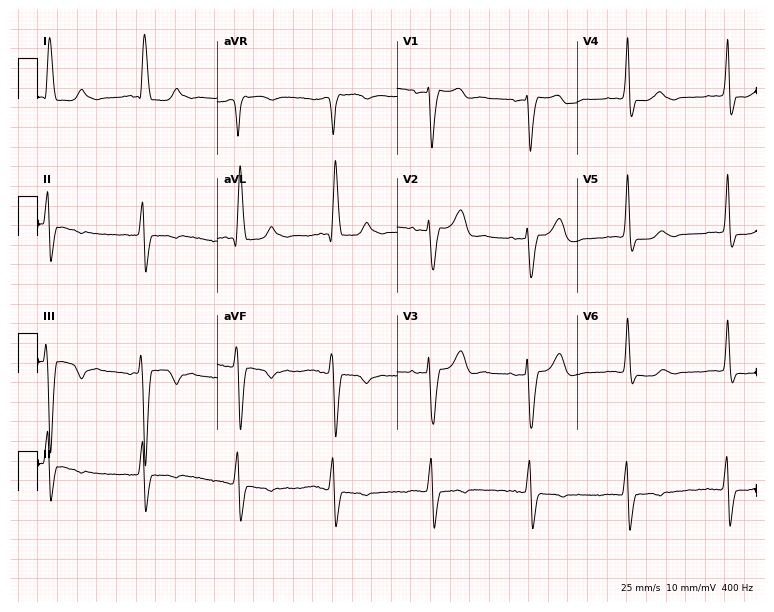
12-lead ECG (7.3-second recording at 400 Hz) from a woman, 63 years old. Findings include left bundle branch block (LBBB).